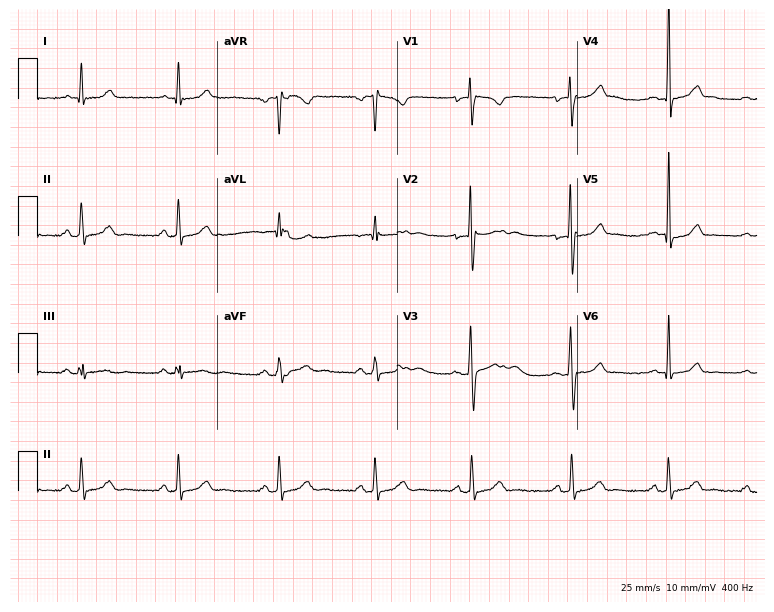
Resting 12-lead electrocardiogram (7.3-second recording at 400 Hz). Patient: a male, 35 years old. Read as a normal ECG.